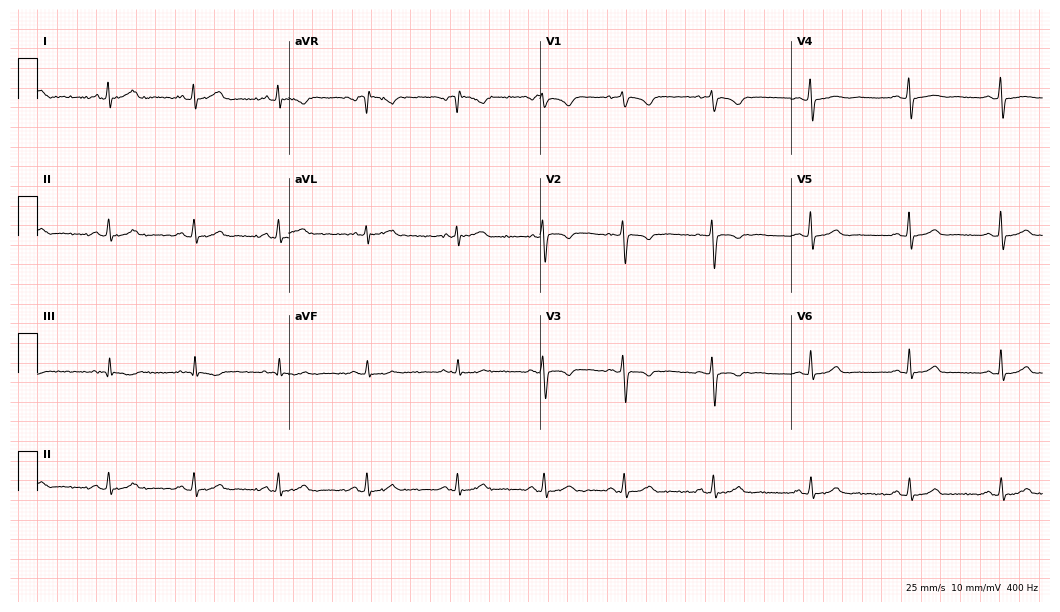
12-lead ECG from a 29-year-old female patient (10.2-second recording at 400 Hz). No first-degree AV block, right bundle branch block, left bundle branch block, sinus bradycardia, atrial fibrillation or sinus tachycardia recorded for this tracing.